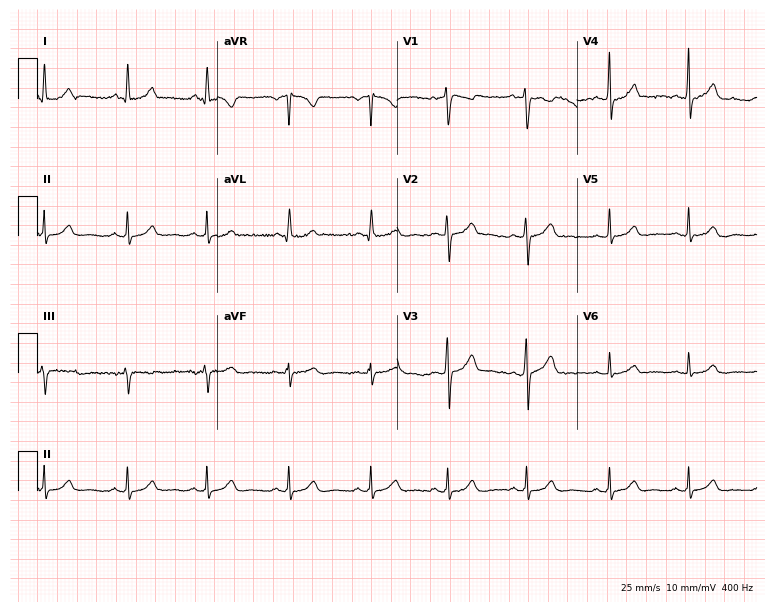
12-lead ECG (7.3-second recording at 400 Hz) from a female, 35 years old. Labelled as a normal ECG.